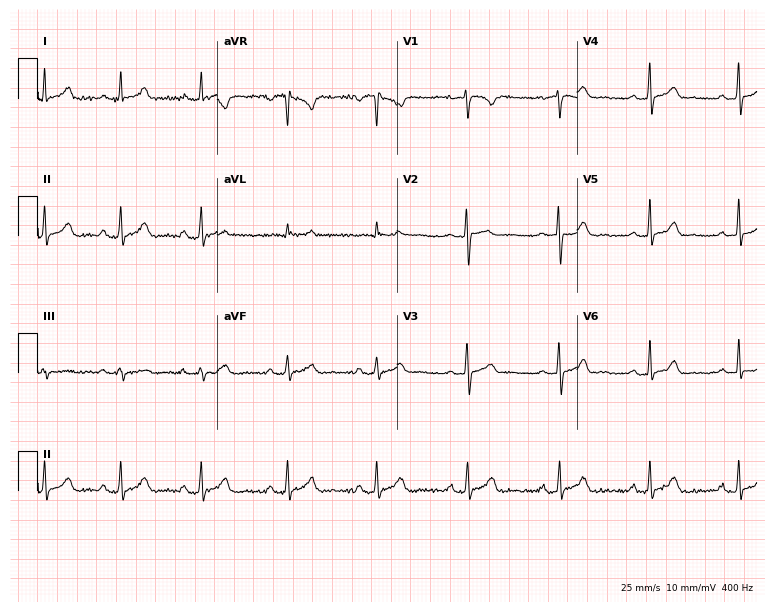
12-lead ECG from a 33-year-old female (7.3-second recording at 400 Hz). Recorded interpretation: within normal limits.